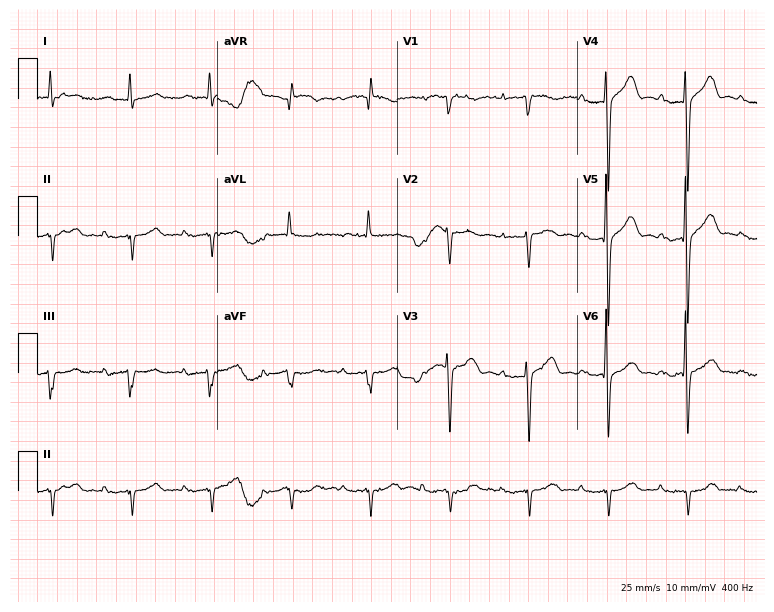
12-lead ECG from an 85-year-old male patient. Findings include first-degree AV block.